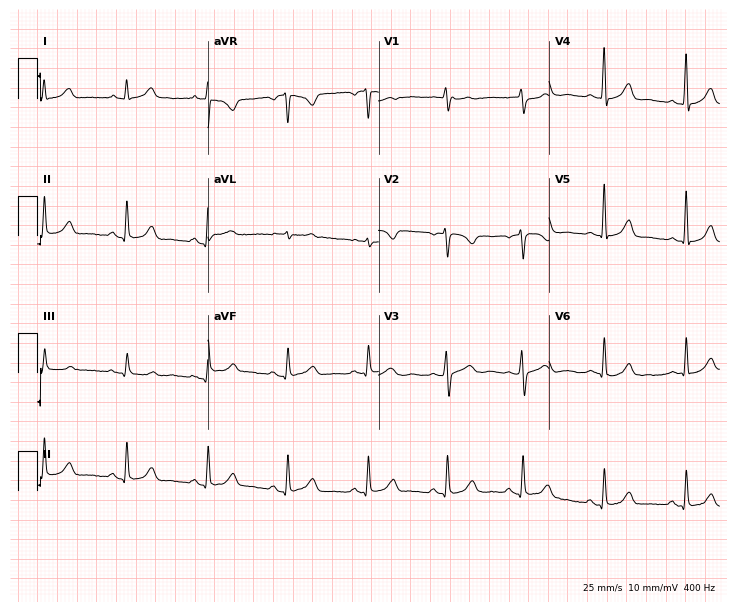
ECG (7-second recording at 400 Hz) — a 46-year-old female. Labelled as a normal ECG.